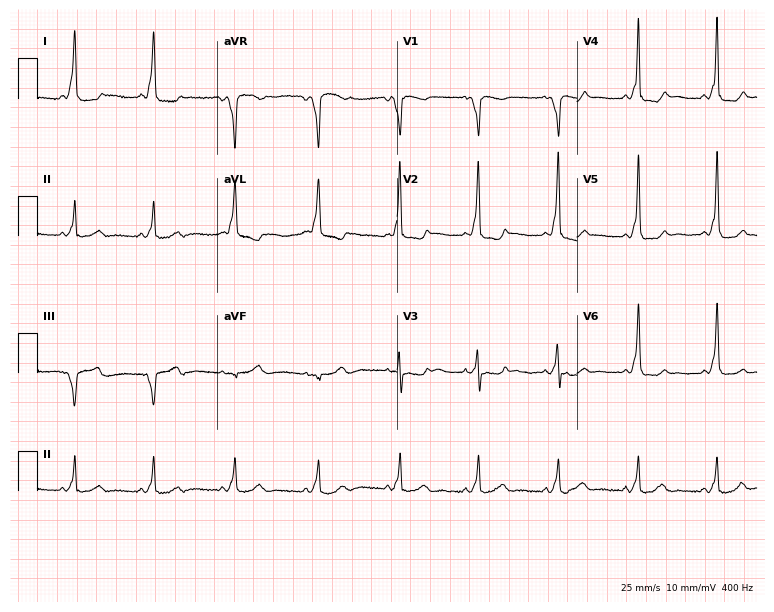
12-lead ECG from a female, 33 years old. Screened for six findings — first-degree AV block, right bundle branch block, left bundle branch block, sinus bradycardia, atrial fibrillation, sinus tachycardia — none is recorded.